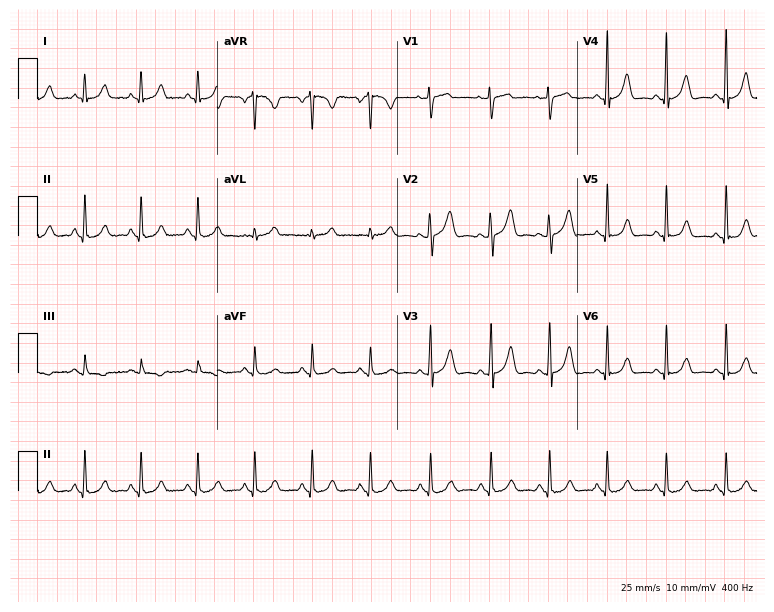
ECG (7.3-second recording at 400 Hz) — a 51-year-old woman. Labelled as a normal ECG.